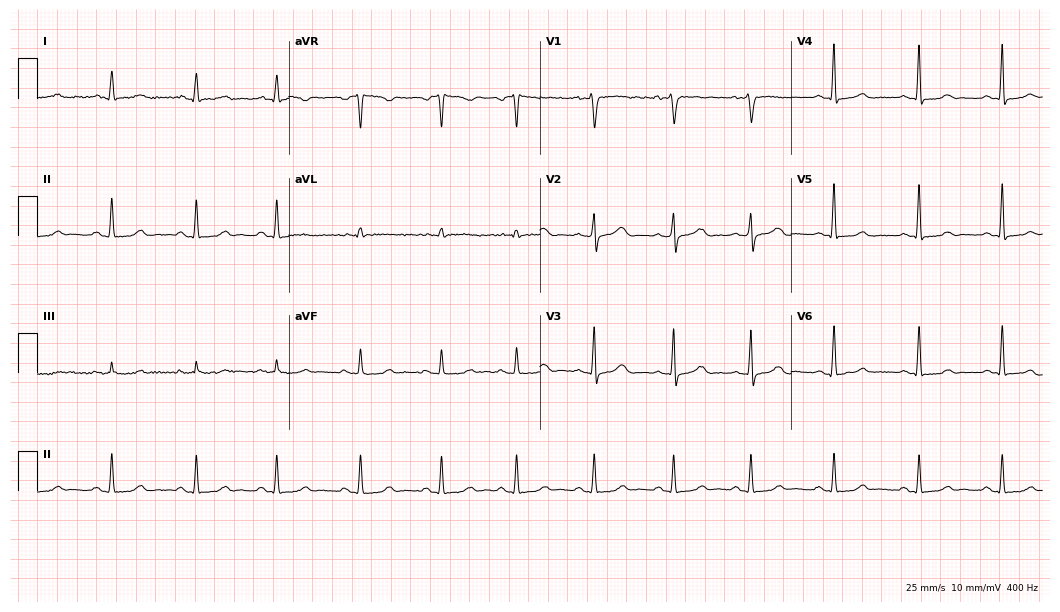
12-lead ECG from a female patient, 31 years old. No first-degree AV block, right bundle branch block, left bundle branch block, sinus bradycardia, atrial fibrillation or sinus tachycardia recorded for this tracing.